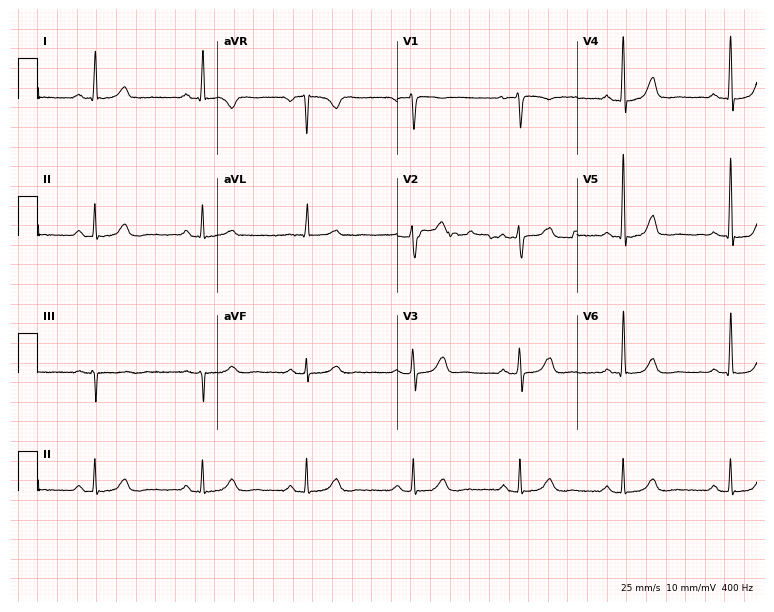
12-lead ECG from a 61-year-old female patient (7.3-second recording at 400 Hz). No first-degree AV block, right bundle branch block (RBBB), left bundle branch block (LBBB), sinus bradycardia, atrial fibrillation (AF) or sinus tachycardia recorded for this tracing.